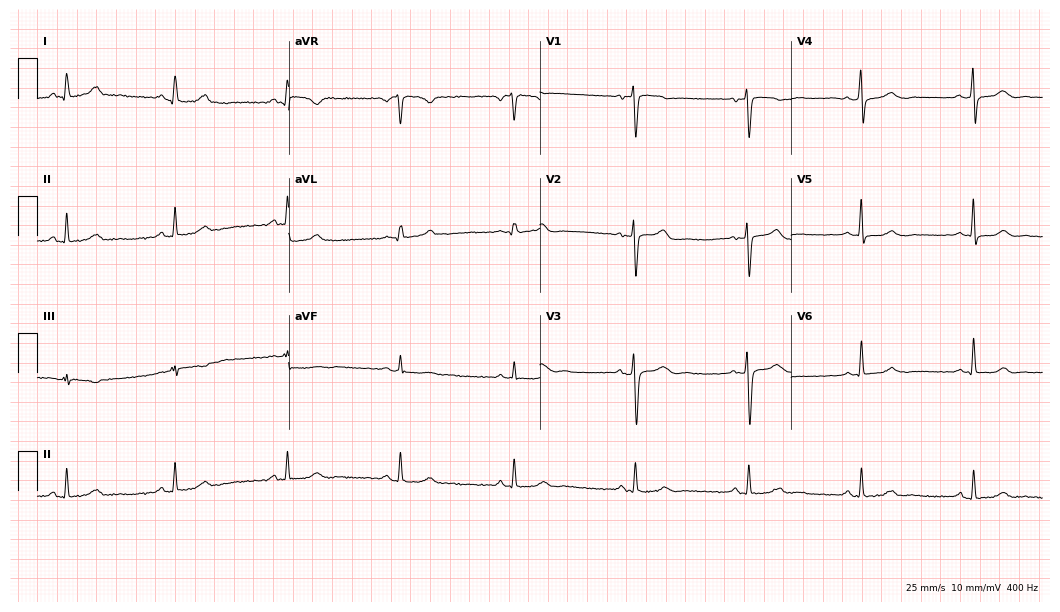
Electrocardiogram, a 43-year-old woman. Overall reading on record: normal ECG.